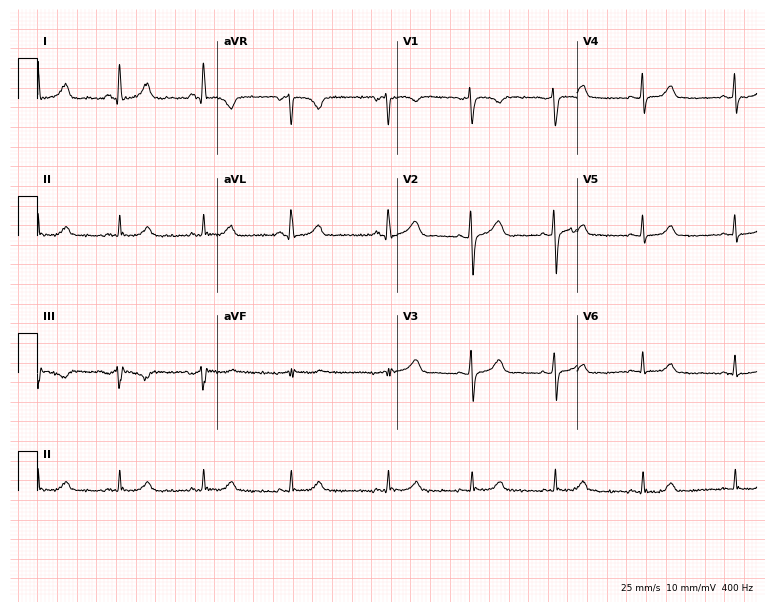
12-lead ECG from a female patient, 29 years old (7.3-second recording at 400 Hz). No first-degree AV block, right bundle branch block, left bundle branch block, sinus bradycardia, atrial fibrillation or sinus tachycardia recorded for this tracing. Only these six findings were labelled.